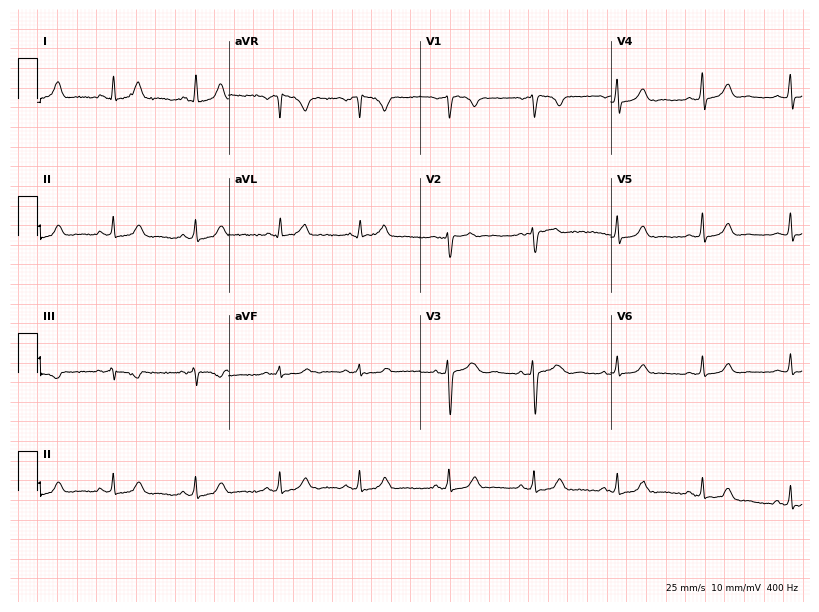
Electrocardiogram, a 27-year-old female patient. Overall reading on record: normal ECG.